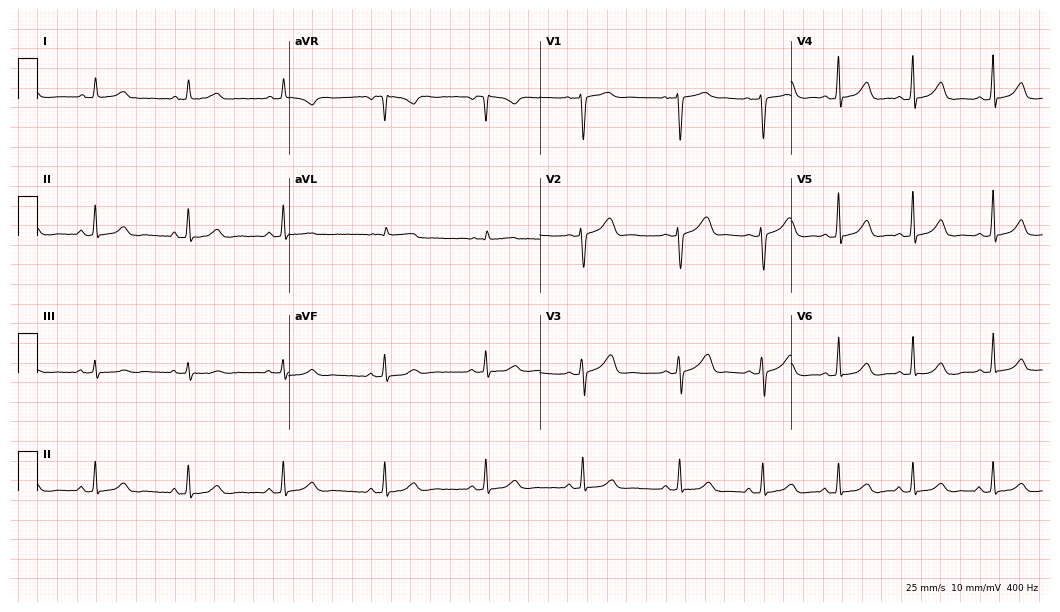
ECG — a 43-year-old woman. Labelled as a normal ECG.